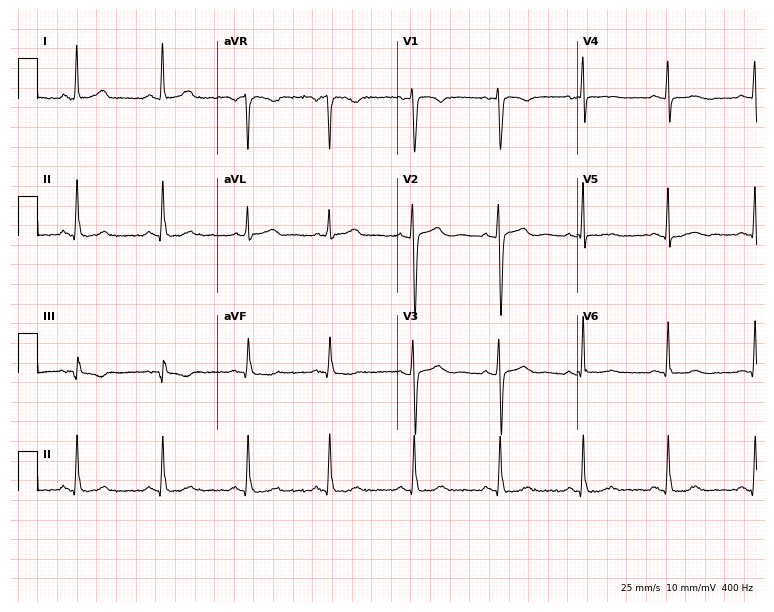
12-lead ECG from a female patient, 46 years old. Recorded interpretation: within normal limits.